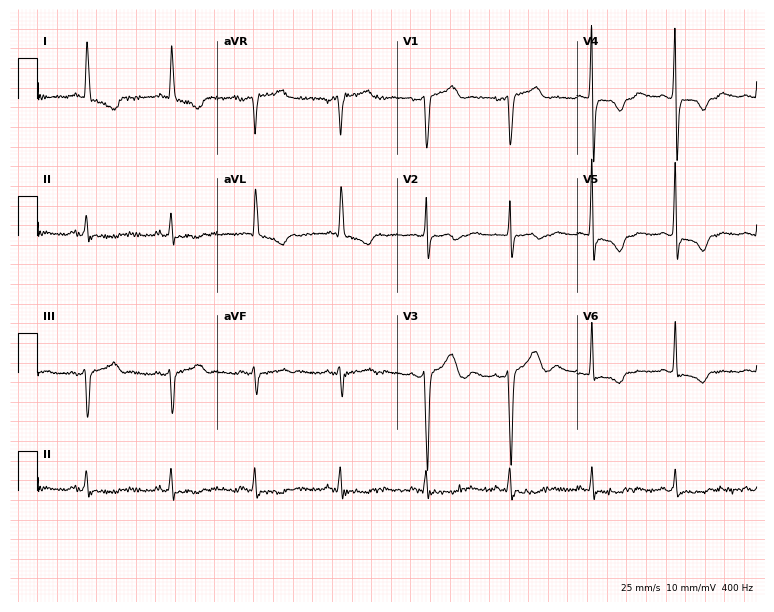
ECG (7.3-second recording at 400 Hz) — a female patient, 71 years old. Screened for six findings — first-degree AV block, right bundle branch block (RBBB), left bundle branch block (LBBB), sinus bradycardia, atrial fibrillation (AF), sinus tachycardia — none is recorded. Only these six findings were labelled.